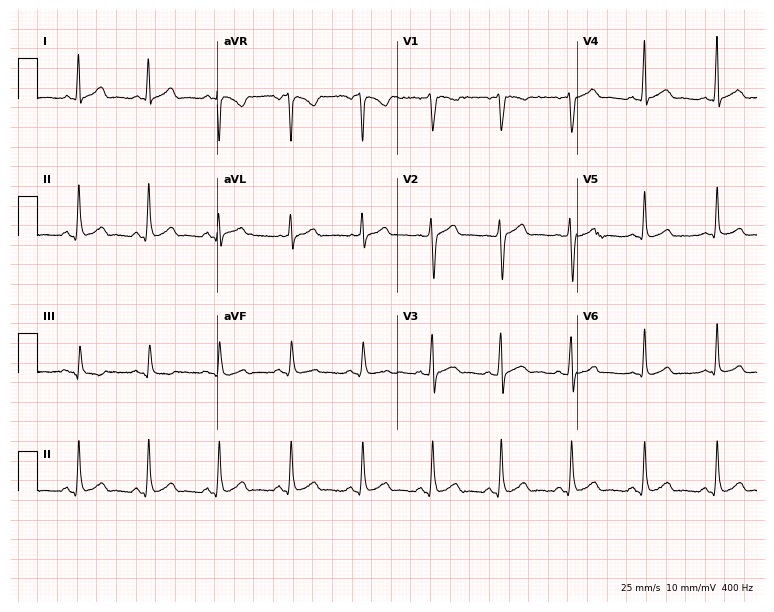
12-lead ECG (7.3-second recording at 400 Hz) from a man, 31 years old. Labelled as a normal ECG.